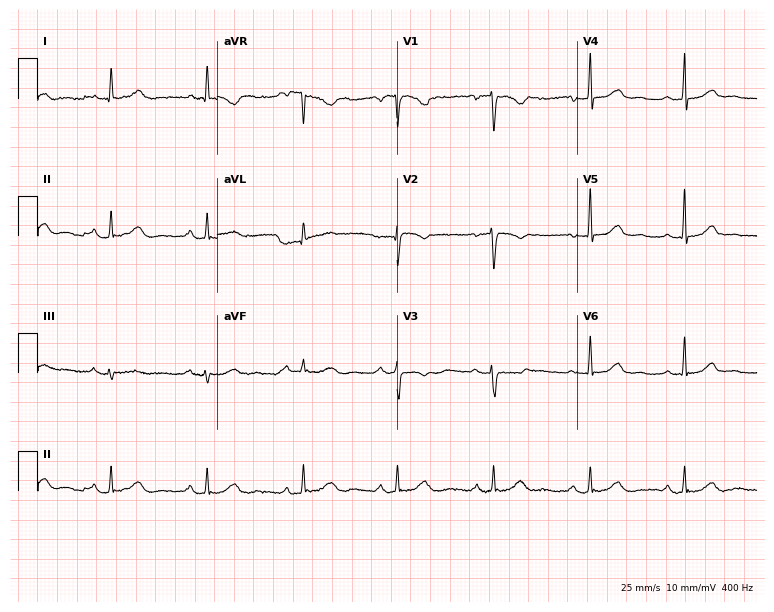
Standard 12-lead ECG recorded from a female patient, 50 years old (7.3-second recording at 400 Hz). Read as a normal ECG.